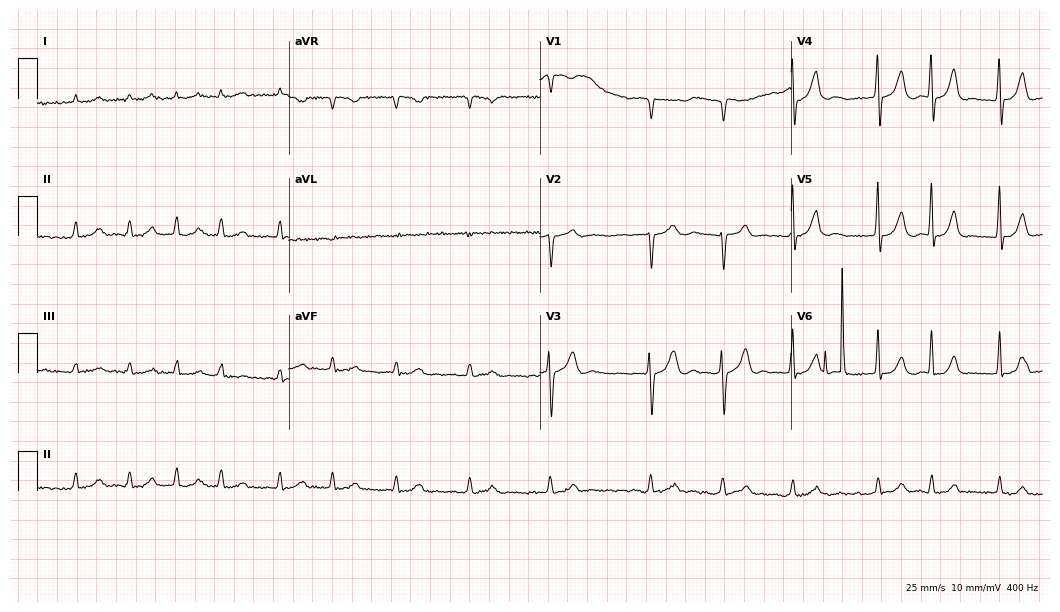
Electrocardiogram (10.2-second recording at 400 Hz), an 85-year-old woman. Interpretation includes atrial fibrillation.